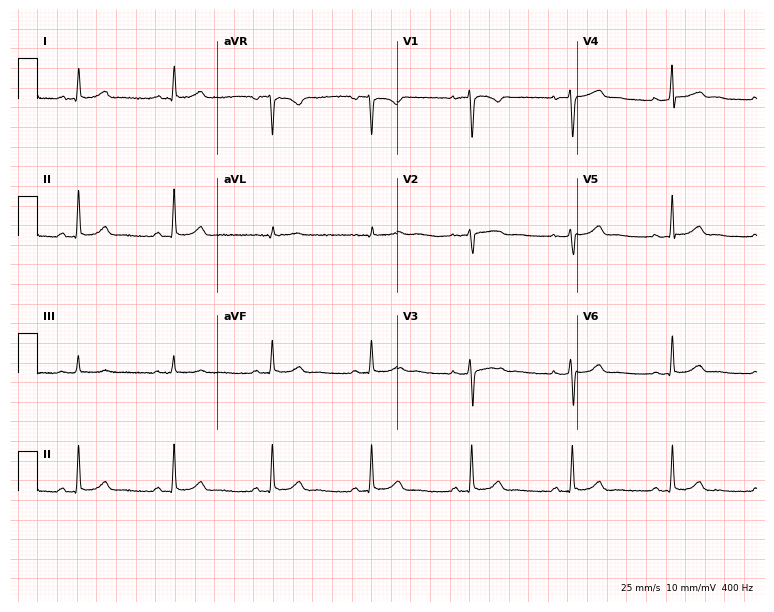
12-lead ECG from a 21-year-old female patient (7.3-second recording at 400 Hz). Recorded interpretation: within normal limits.